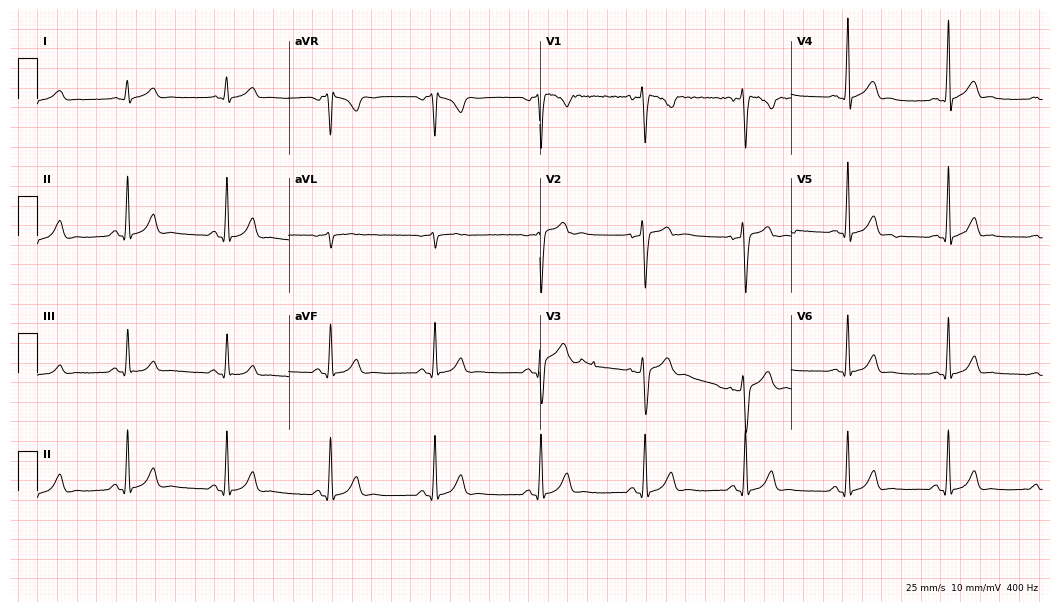
ECG — a male patient, 26 years old. Labelled as a normal ECG.